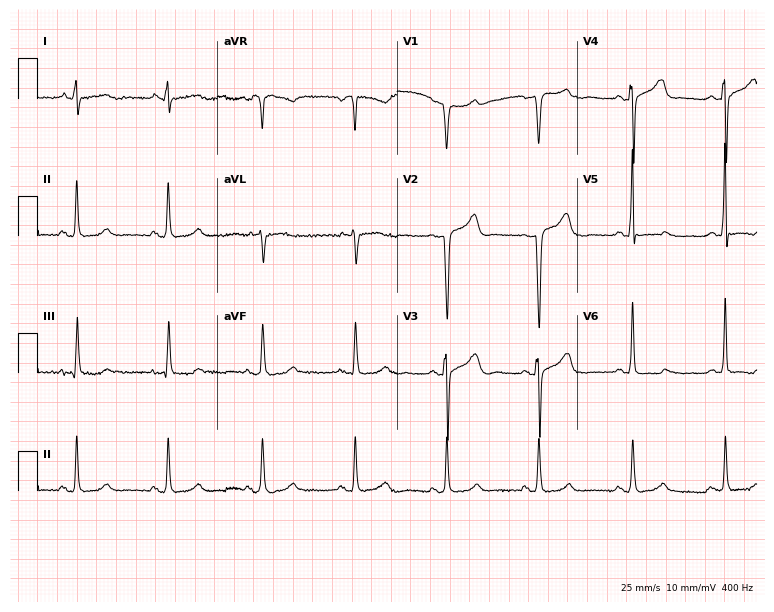
Resting 12-lead electrocardiogram. Patient: a man, 84 years old. Read as a normal ECG.